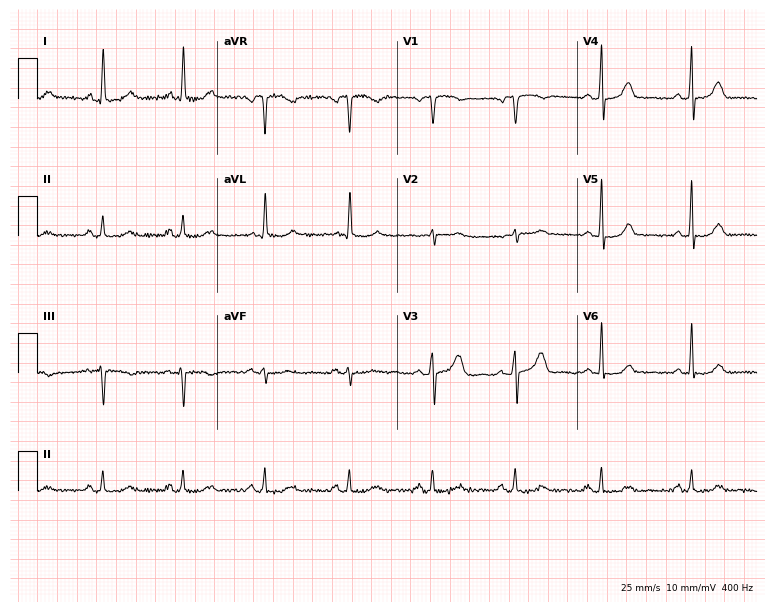
12-lead ECG from a female, 65 years old (7.3-second recording at 400 Hz). Recorded interpretation: within normal limits.